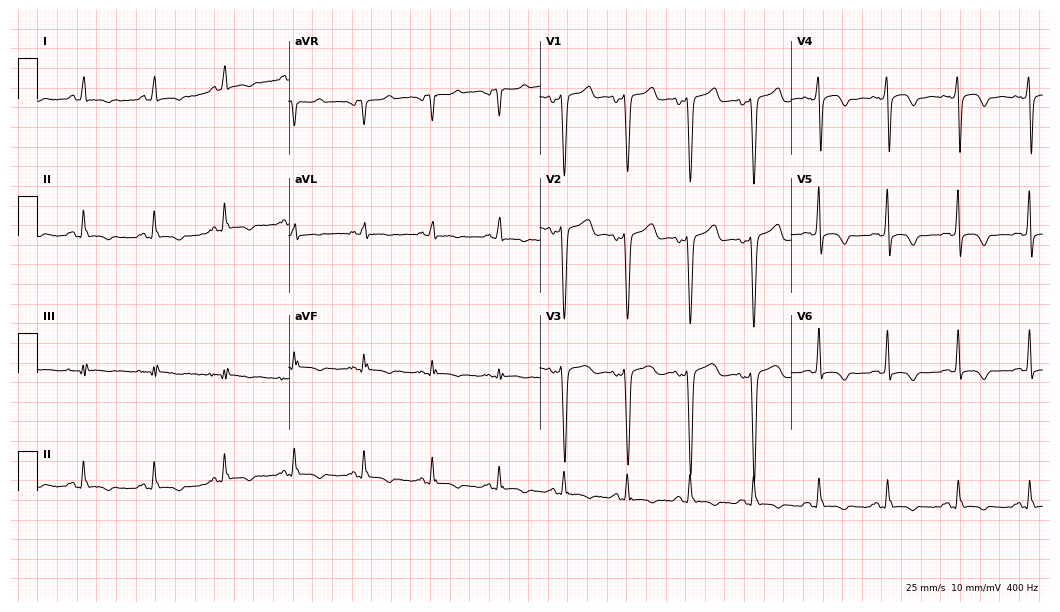
Electrocardiogram (10.2-second recording at 400 Hz), a woman, 47 years old. Of the six screened findings (first-degree AV block, right bundle branch block, left bundle branch block, sinus bradycardia, atrial fibrillation, sinus tachycardia), none is recorded. Findings outside these six are not listed.